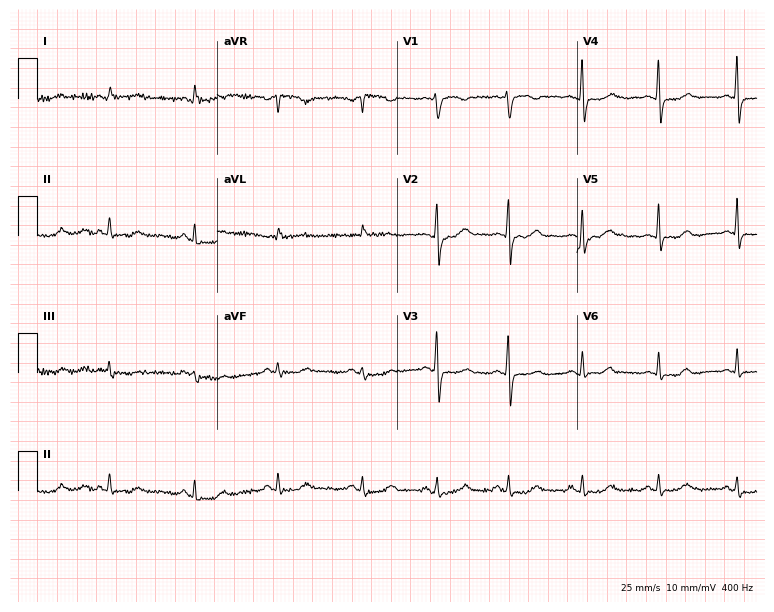
ECG — a 38-year-old woman. Labelled as a normal ECG.